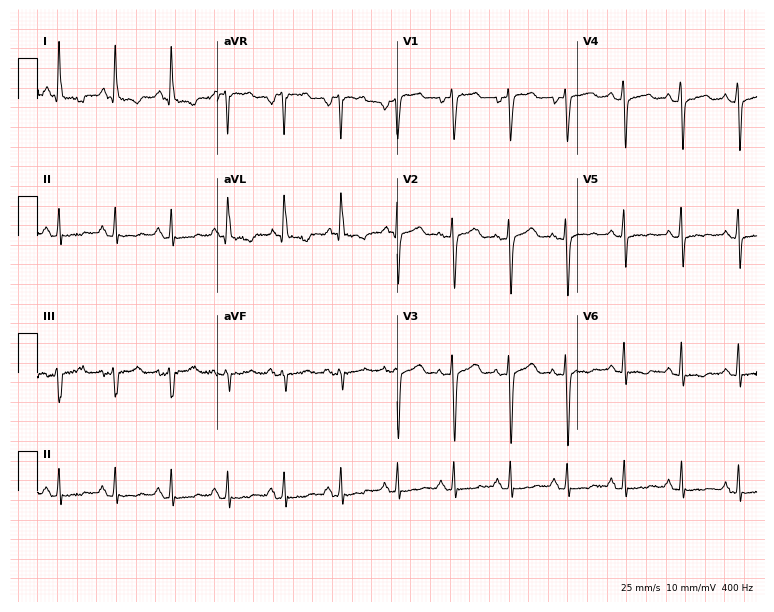
12-lead ECG from a 64-year-old woman. Findings include sinus tachycardia (a sinus rate of 100 beats per minute or more).